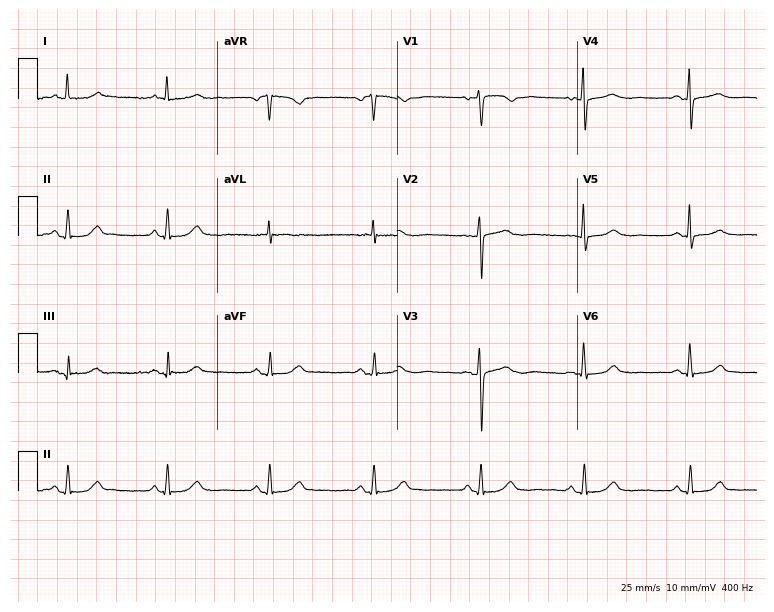
12-lead ECG from a 58-year-old female. Screened for six findings — first-degree AV block, right bundle branch block, left bundle branch block, sinus bradycardia, atrial fibrillation, sinus tachycardia — none is recorded. Findings outside these six are not listed.